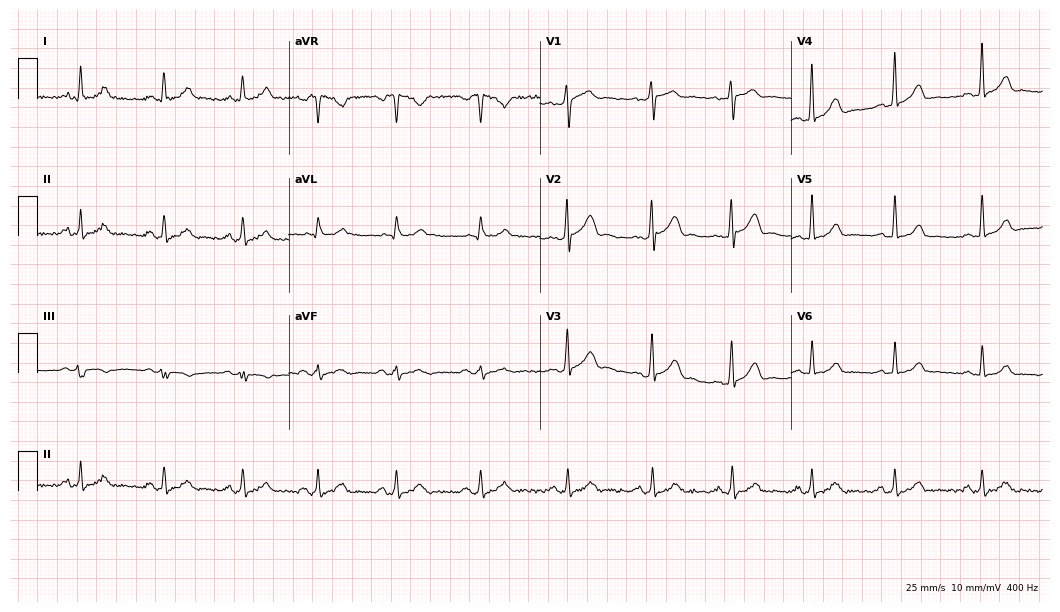
Standard 12-lead ECG recorded from a male, 38 years old. Read as a normal ECG.